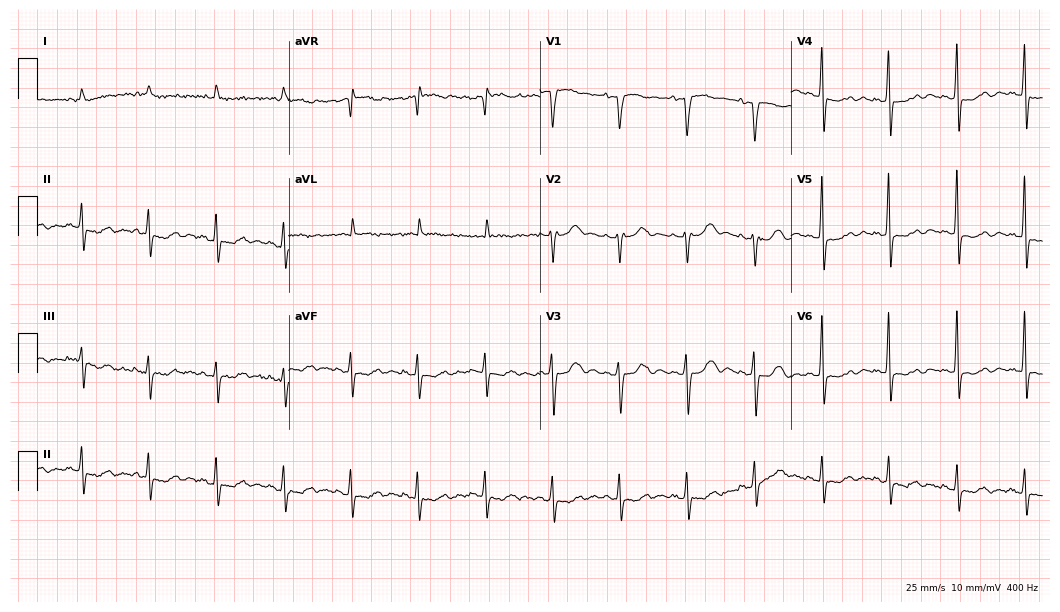
Standard 12-lead ECG recorded from an 84-year-old woman (10.2-second recording at 400 Hz). None of these six findings is recorded: first-degree AV block, right bundle branch block (RBBB), left bundle branch block (LBBB), sinus bradycardia, atrial fibrillation (AF), sinus tachycardia.